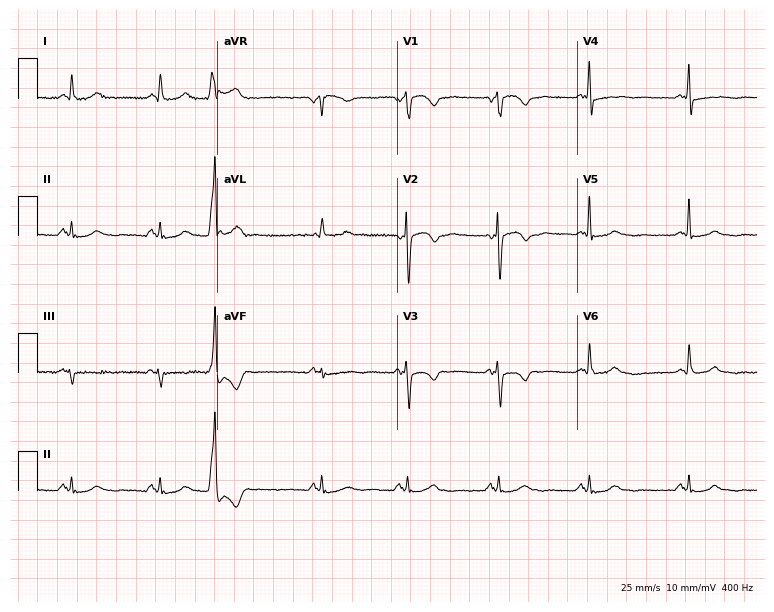
12-lead ECG from a woman, 60 years old. Screened for six findings — first-degree AV block, right bundle branch block, left bundle branch block, sinus bradycardia, atrial fibrillation, sinus tachycardia — none is recorded. Only these six findings were labelled.